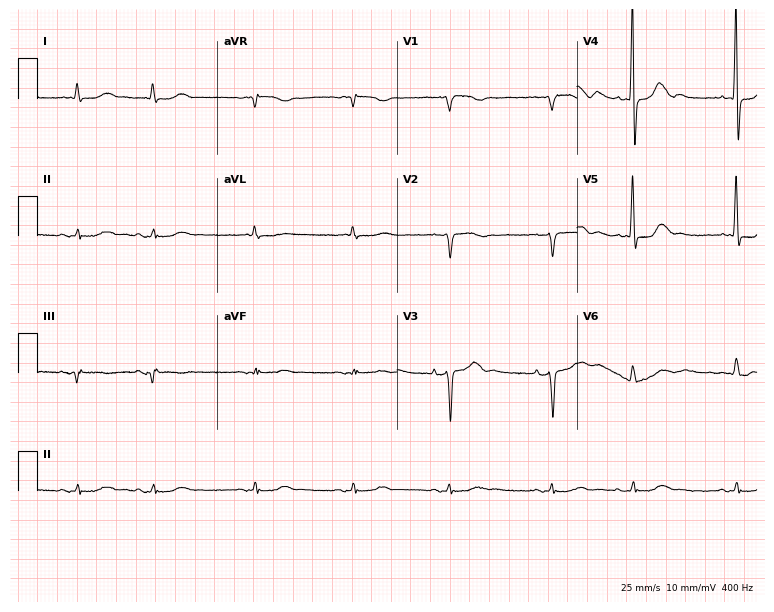
Standard 12-lead ECG recorded from a 78-year-old man. None of these six findings is recorded: first-degree AV block, right bundle branch block (RBBB), left bundle branch block (LBBB), sinus bradycardia, atrial fibrillation (AF), sinus tachycardia. Only these six findings were labelled.